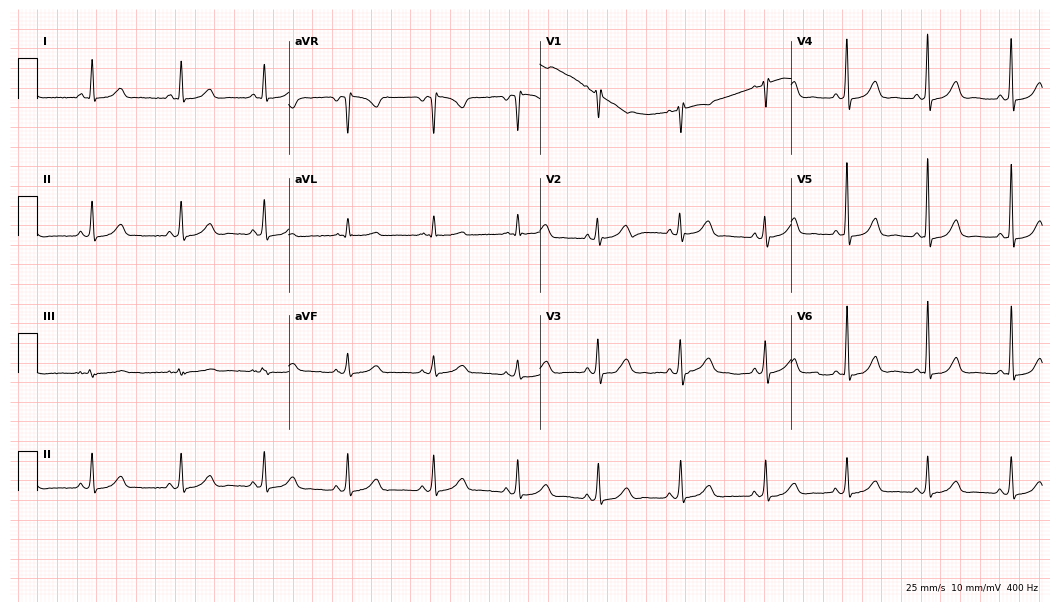
12-lead ECG from a female, 55 years old. Screened for six findings — first-degree AV block, right bundle branch block (RBBB), left bundle branch block (LBBB), sinus bradycardia, atrial fibrillation (AF), sinus tachycardia — none is recorded.